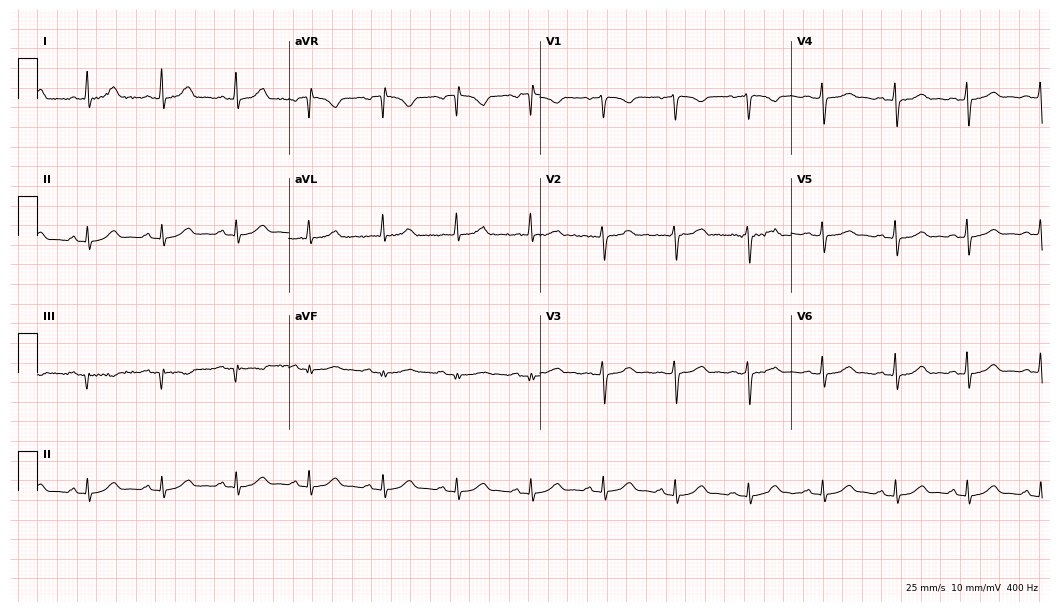
12-lead ECG from a female, 46 years old. Labelled as a normal ECG.